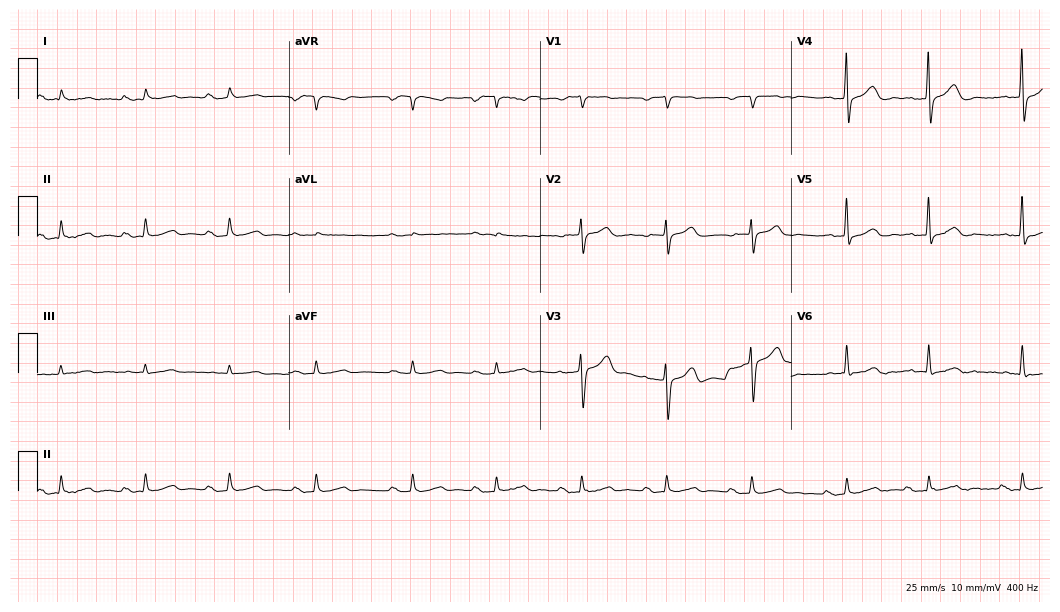
Standard 12-lead ECG recorded from a 75-year-old male. None of these six findings is recorded: first-degree AV block, right bundle branch block (RBBB), left bundle branch block (LBBB), sinus bradycardia, atrial fibrillation (AF), sinus tachycardia. Other findings, if any, are not listed.